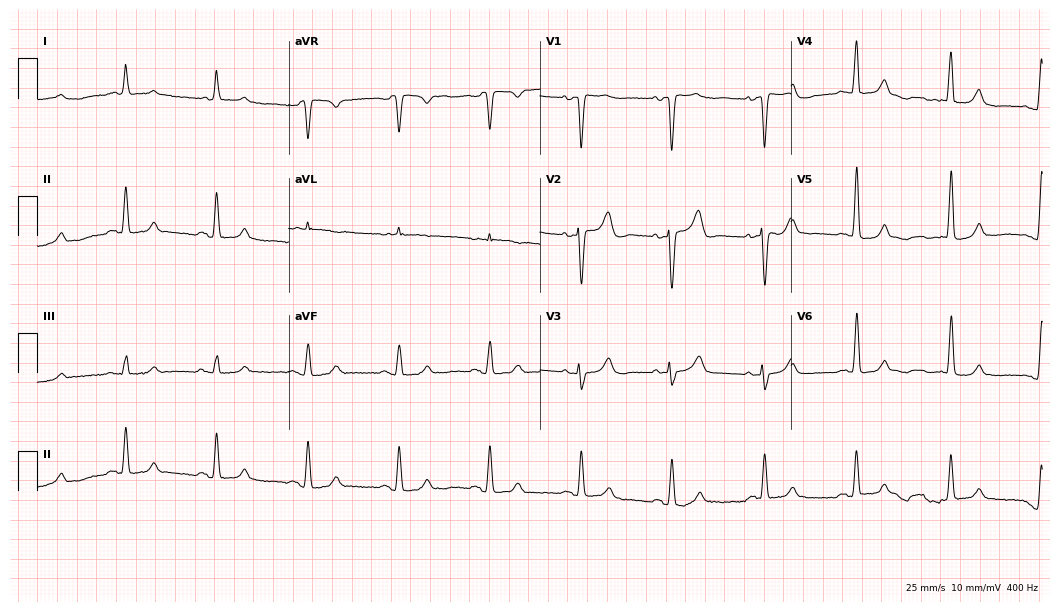
Resting 12-lead electrocardiogram. Patient: a female, 81 years old. None of these six findings is recorded: first-degree AV block, right bundle branch block, left bundle branch block, sinus bradycardia, atrial fibrillation, sinus tachycardia.